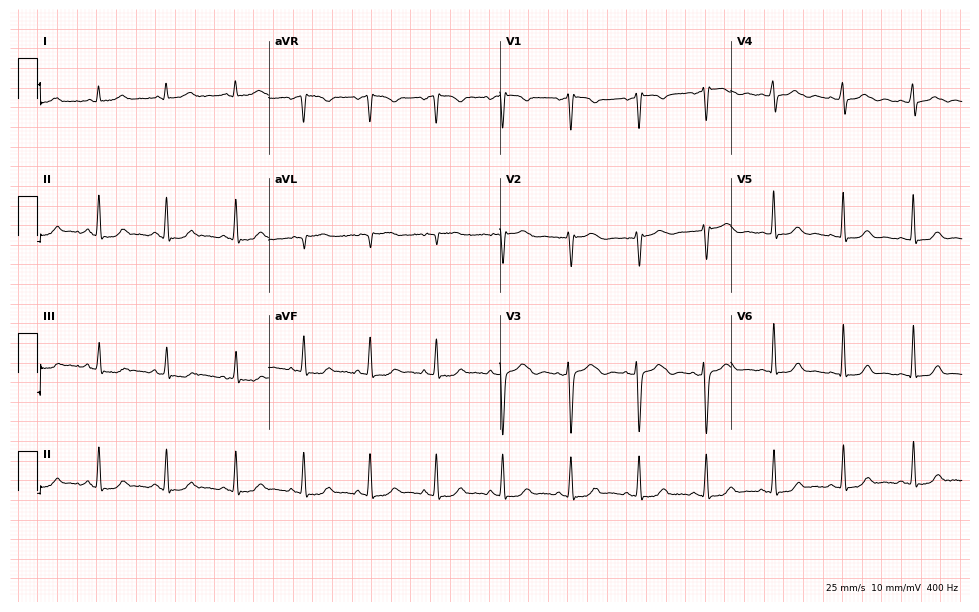
12-lead ECG from a 39-year-old female patient. Labelled as a normal ECG.